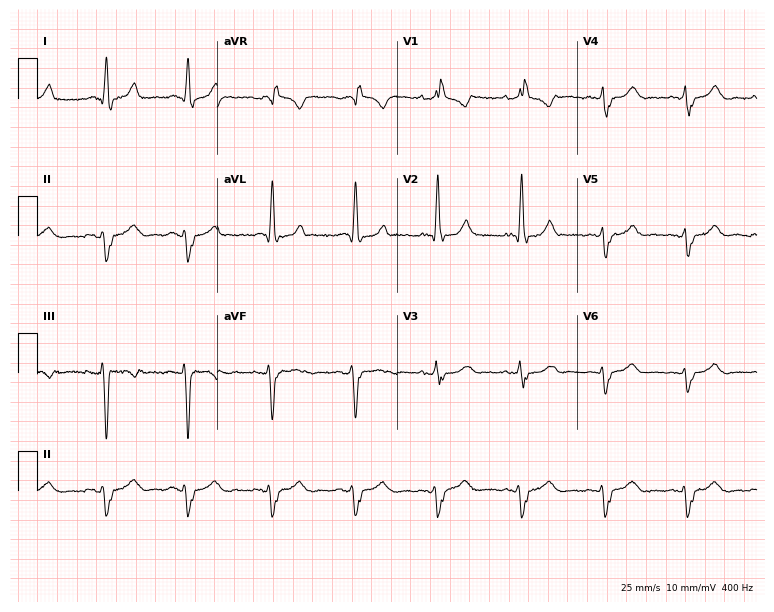
Electrocardiogram (7.3-second recording at 400 Hz), a woman, 55 years old. Interpretation includes right bundle branch block.